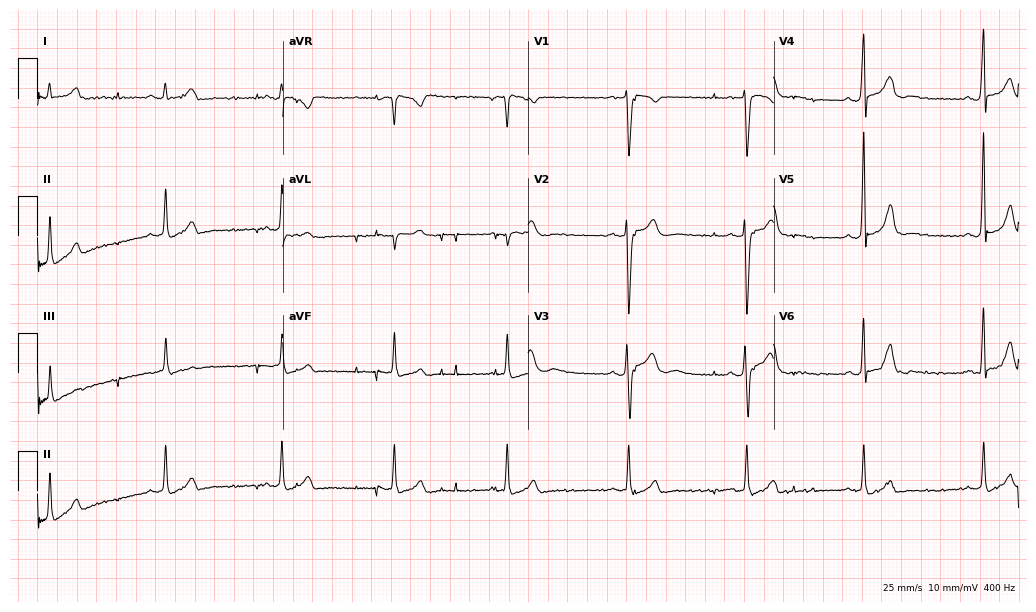
12-lead ECG from a male, 28 years old. No first-degree AV block, right bundle branch block (RBBB), left bundle branch block (LBBB), sinus bradycardia, atrial fibrillation (AF) or sinus tachycardia recorded for this tracing.